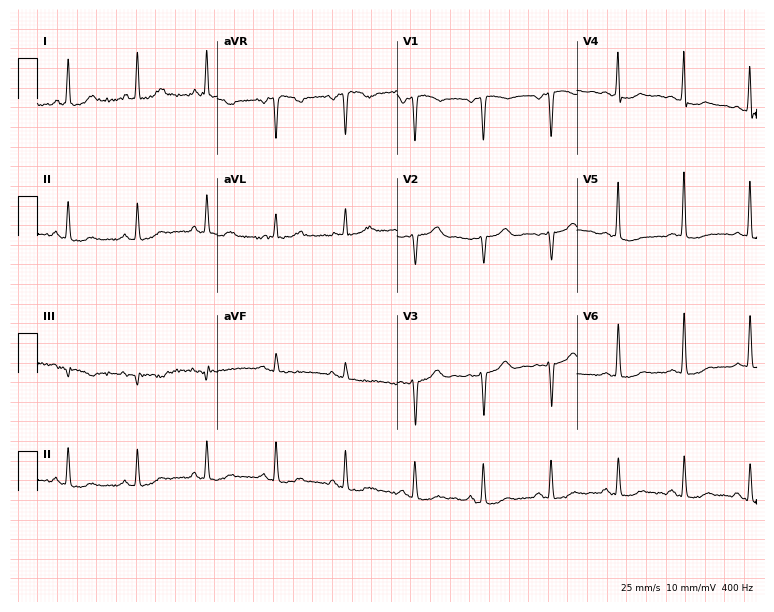
ECG — a woman, 56 years old. Screened for six findings — first-degree AV block, right bundle branch block, left bundle branch block, sinus bradycardia, atrial fibrillation, sinus tachycardia — none is recorded.